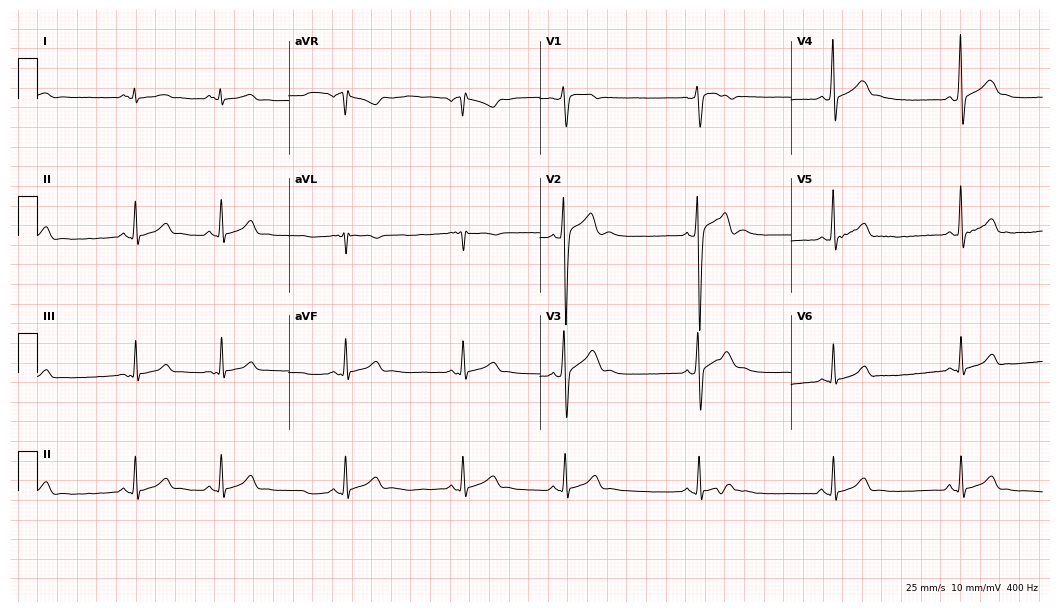
12-lead ECG from a male, 19 years old. Screened for six findings — first-degree AV block, right bundle branch block, left bundle branch block, sinus bradycardia, atrial fibrillation, sinus tachycardia — none is recorded. Findings outside these six are not listed.